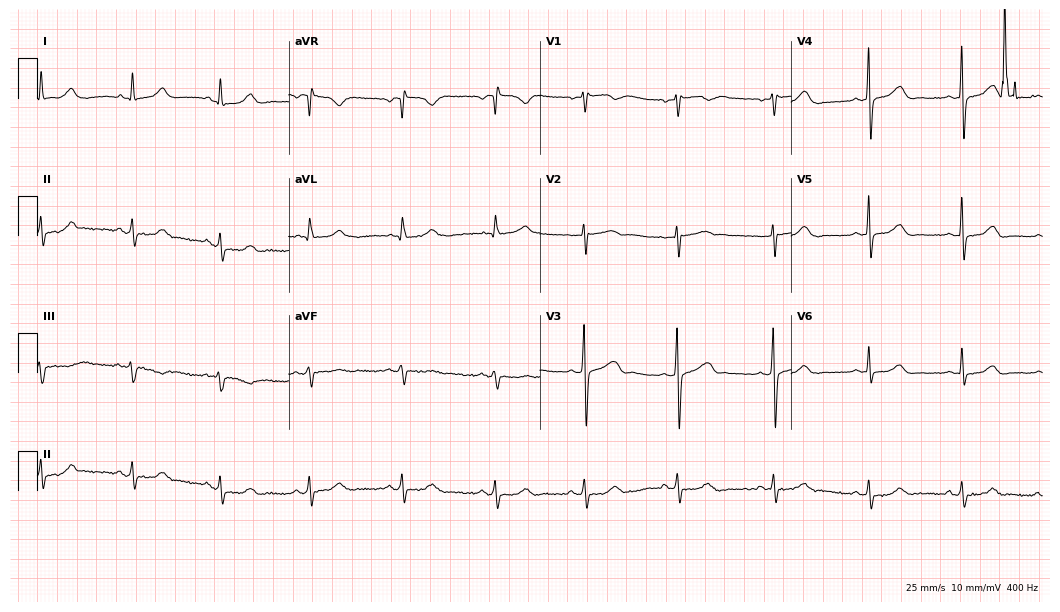
ECG (10.2-second recording at 400 Hz) — a 26-year-old female patient. Labelled as a normal ECG.